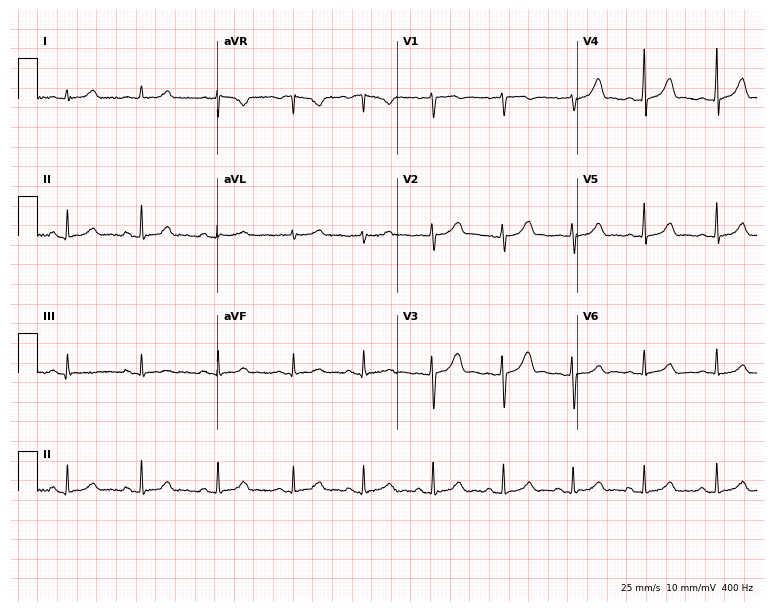
12-lead ECG (7.3-second recording at 400 Hz) from a 23-year-old female patient. Labelled as a normal ECG.